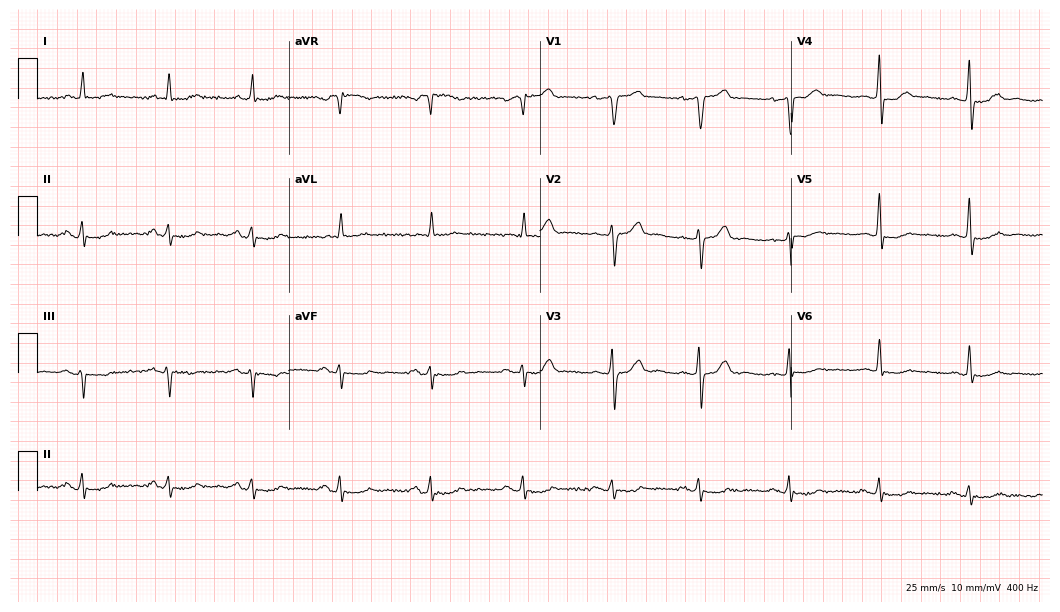
ECG (10.2-second recording at 400 Hz) — a 66-year-old male. Screened for six findings — first-degree AV block, right bundle branch block (RBBB), left bundle branch block (LBBB), sinus bradycardia, atrial fibrillation (AF), sinus tachycardia — none is recorded.